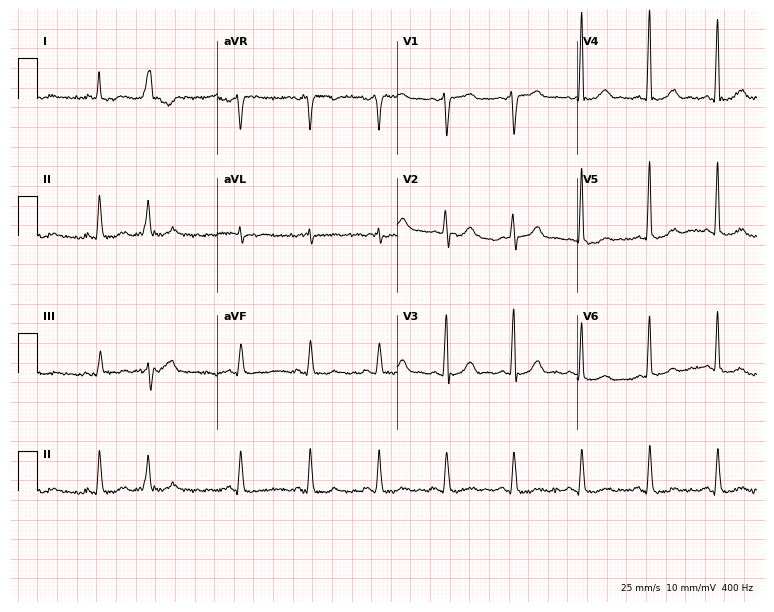
Resting 12-lead electrocardiogram. Patient: a man, 64 years old. Read as a normal ECG.